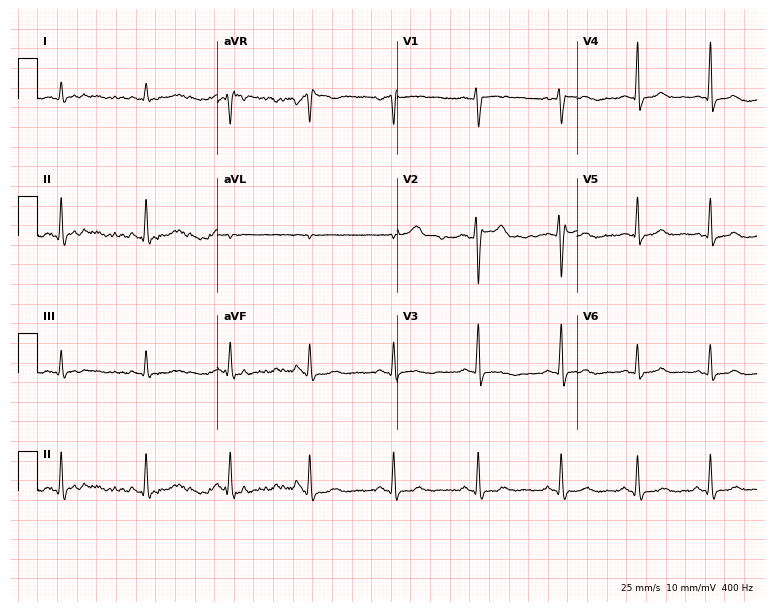
12-lead ECG (7.3-second recording at 400 Hz) from a female patient, 29 years old. Screened for six findings — first-degree AV block, right bundle branch block, left bundle branch block, sinus bradycardia, atrial fibrillation, sinus tachycardia — none is recorded.